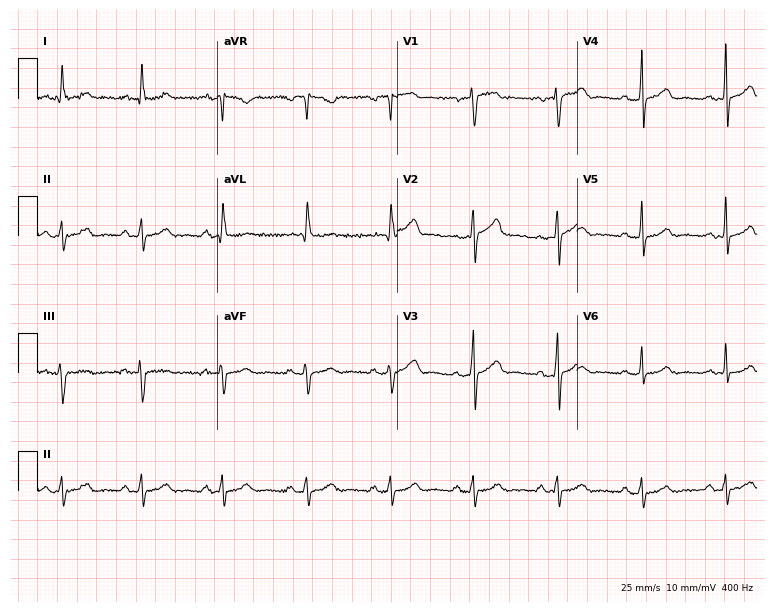
Resting 12-lead electrocardiogram. Patient: a male, 63 years old. Read as a normal ECG.